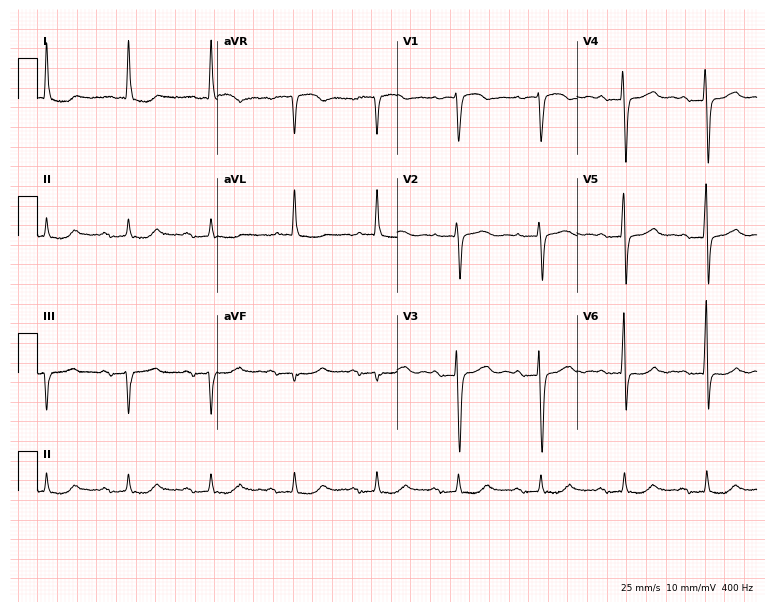
Electrocardiogram (7.3-second recording at 400 Hz), a 73-year-old female. Interpretation includes first-degree AV block.